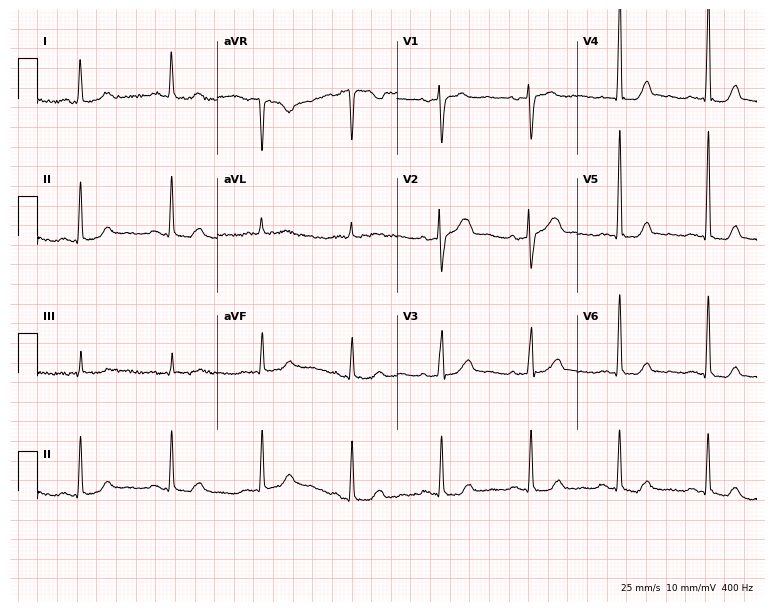
Electrocardiogram (7.3-second recording at 400 Hz), a 55-year-old female. Of the six screened findings (first-degree AV block, right bundle branch block (RBBB), left bundle branch block (LBBB), sinus bradycardia, atrial fibrillation (AF), sinus tachycardia), none is recorded. Findings outside these six are not listed.